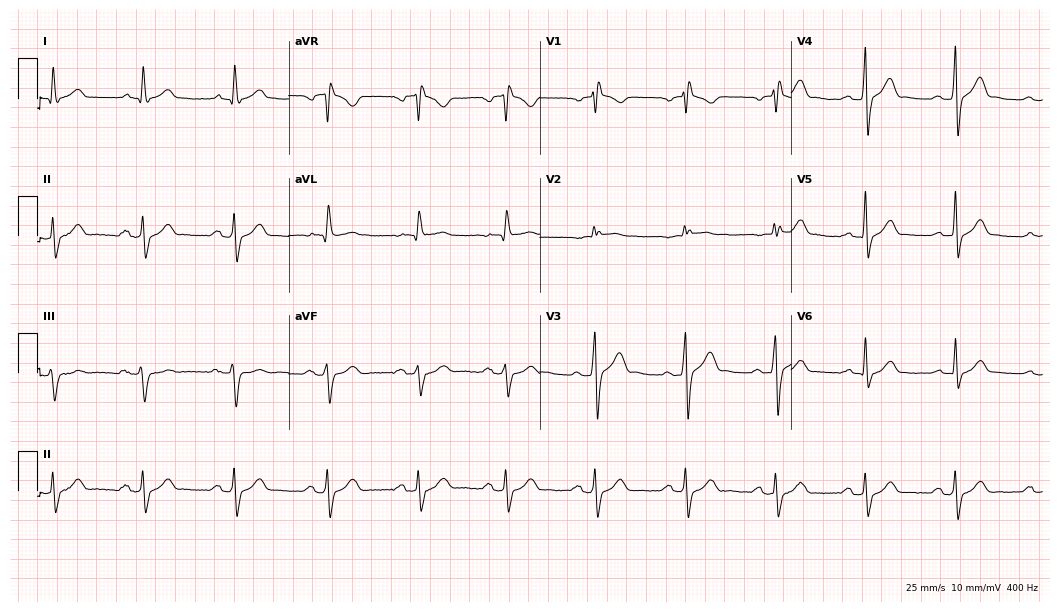
Standard 12-lead ECG recorded from a 74-year-old male (10.2-second recording at 400 Hz). The tracing shows right bundle branch block (RBBB).